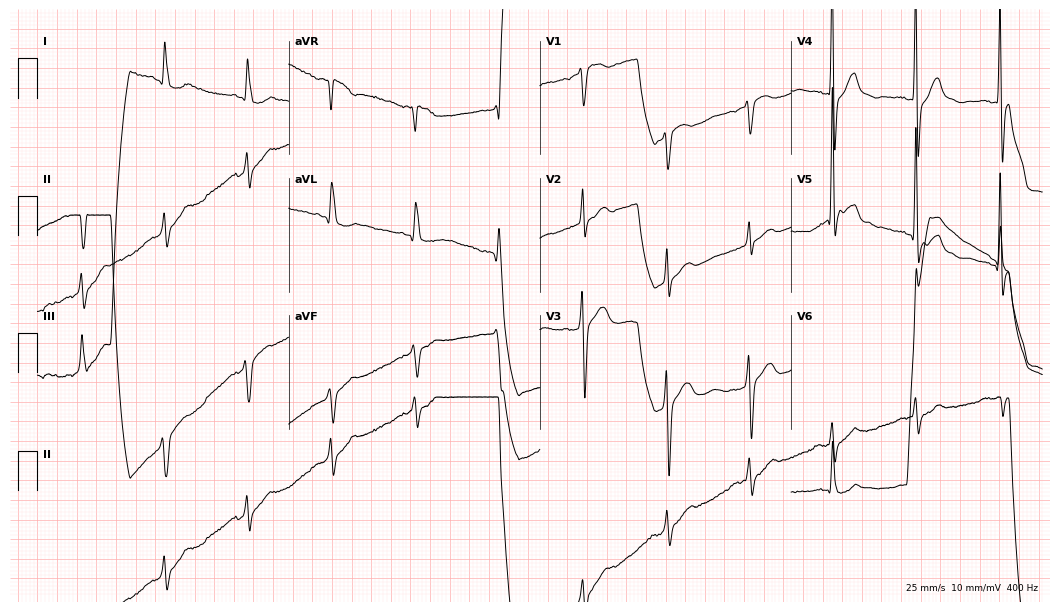
ECG (10.2-second recording at 400 Hz) — an 85-year-old female. Screened for six findings — first-degree AV block, right bundle branch block, left bundle branch block, sinus bradycardia, atrial fibrillation, sinus tachycardia — none is recorded. Only these six findings were labelled.